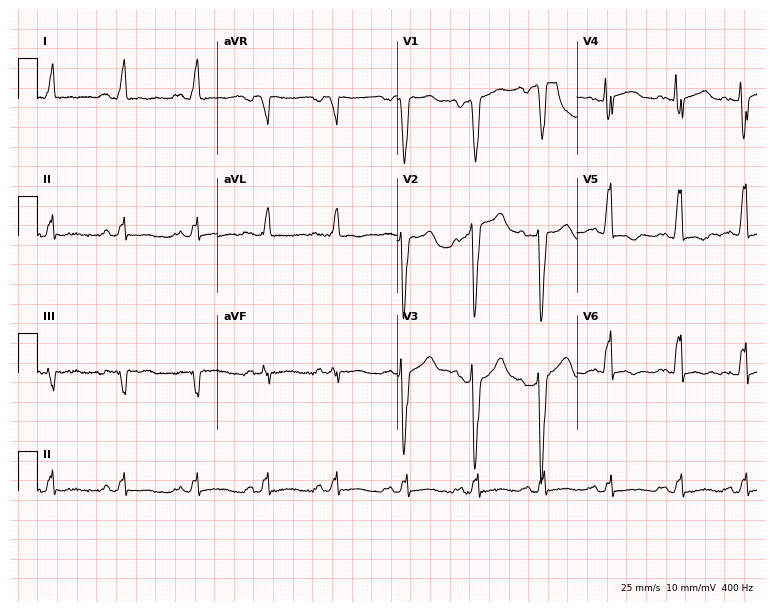
12-lead ECG (7.3-second recording at 400 Hz) from a male patient, 45 years old. Screened for six findings — first-degree AV block, right bundle branch block, left bundle branch block, sinus bradycardia, atrial fibrillation, sinus tachycardia — none is recorded. Other findings, if any, are not listed.